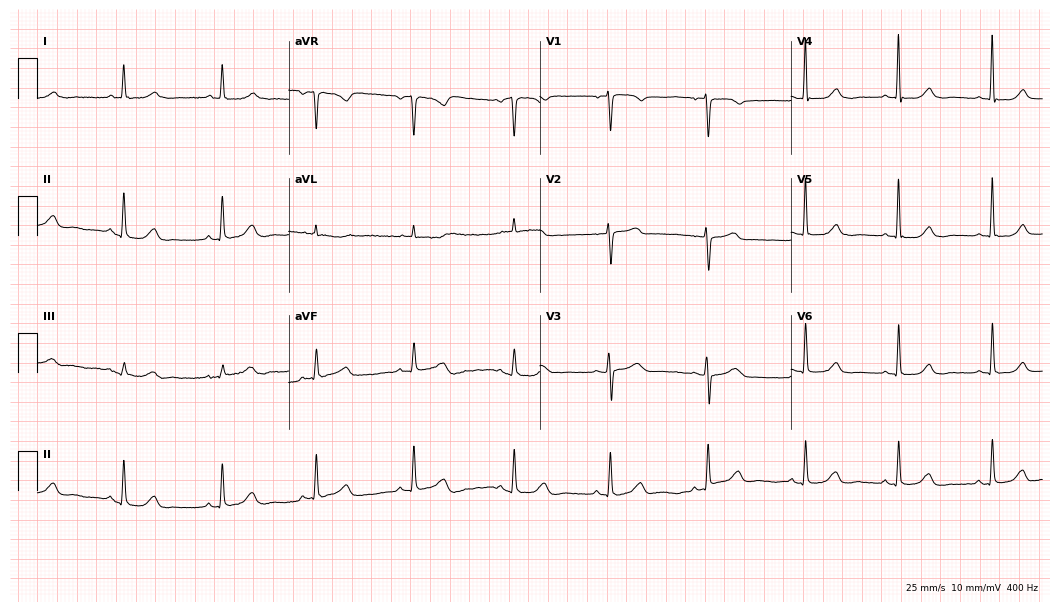
Standard 12-lead ECG recorded from a woman, 60 years old. Read as a normal ECG.